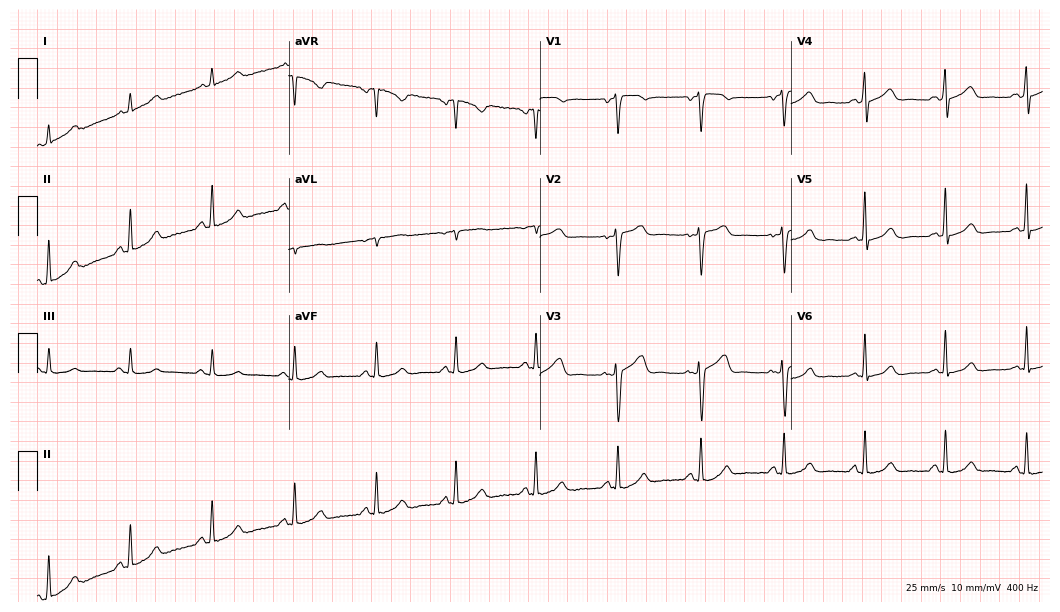
12-lead ECG from a 47-year-old female patient. Labelled as a normal ECG.